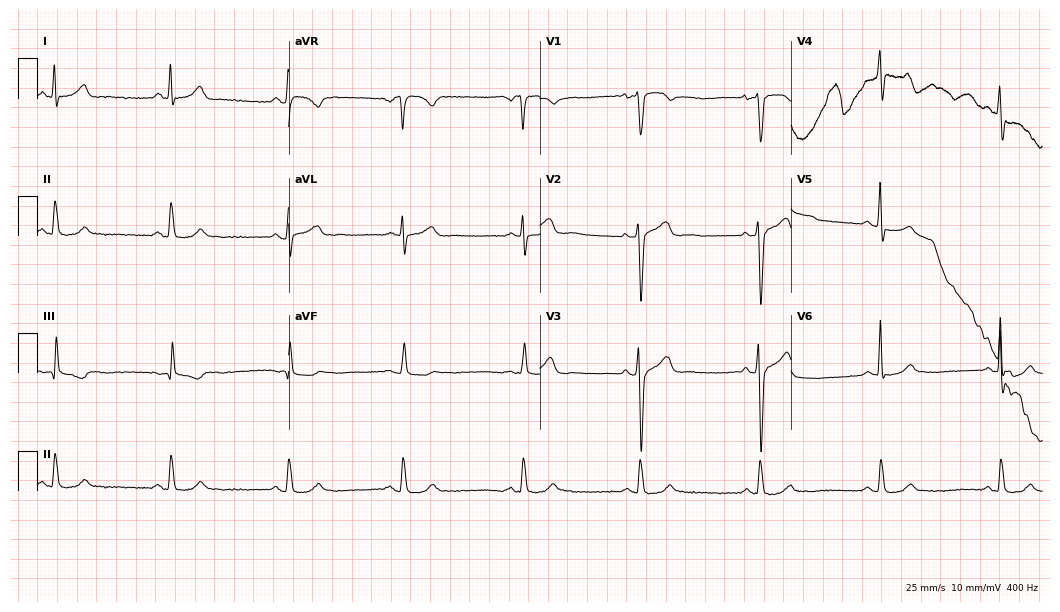
12-lead ECG from a male, 36 years old. Screened for six findings — first-degree AV block, right bundle branch block, left bundle branch block, sinus bradycardia, atrial fibrillation, sinus tachycardia — none is recorded.